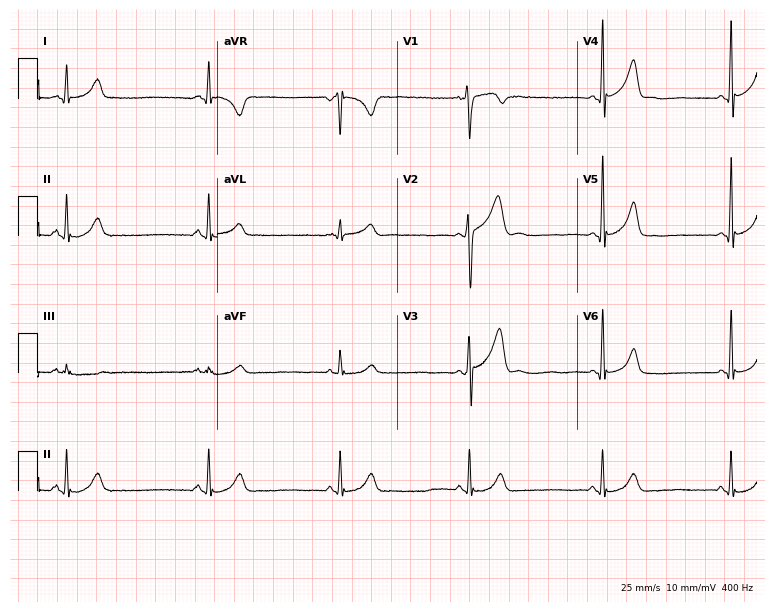
Standard 12-lead ECG recorded from a man, 22 years old. None of these six findings is recorded: first-degree AV block, right bundle branch block (RBBB), left bundle branch block (LBBB), sinus bradycardia, atrial fibrillation (AF), sinus tachycardia.